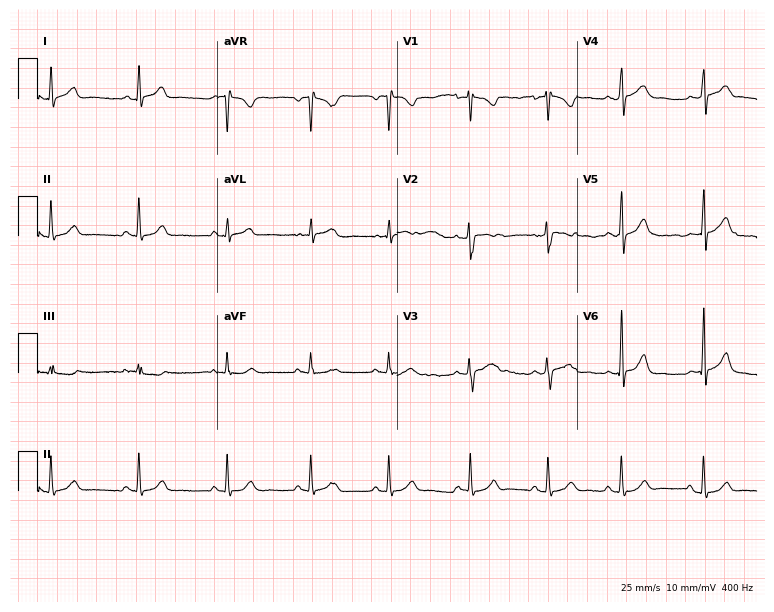
Electrocardiogram, a 20-year-old woman. Of the six screened findings (first-degree AV block, right bundle branch block (RBBB), left bundle branch block (LBBB), sinus bradycardia, atrial fibrillation (AF), sinus tachycardia), none is recorded.